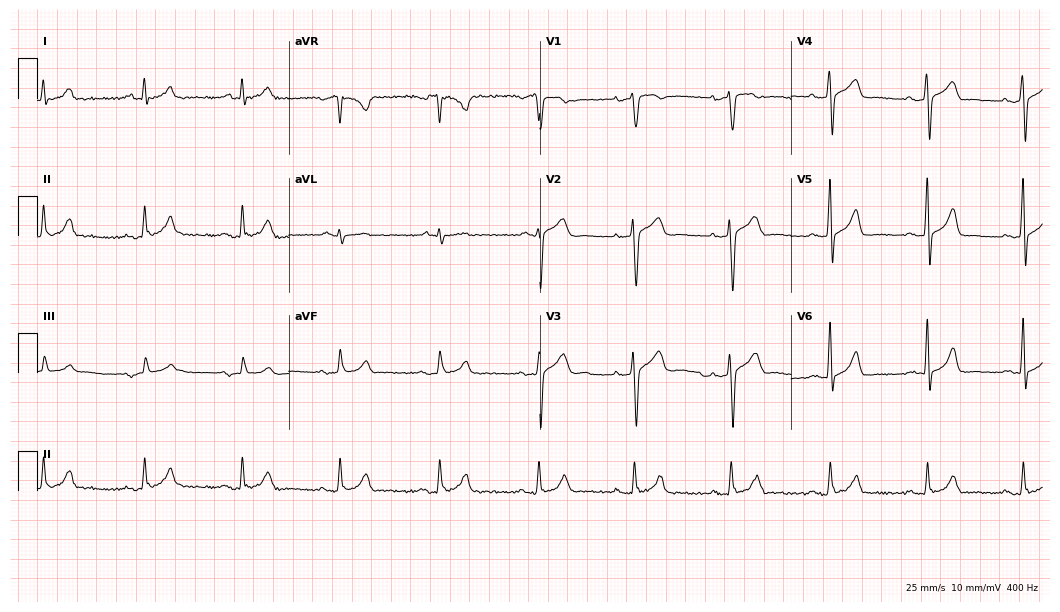
12-lead ECG from a 48-year-old man. Labelled as a normal ECG.